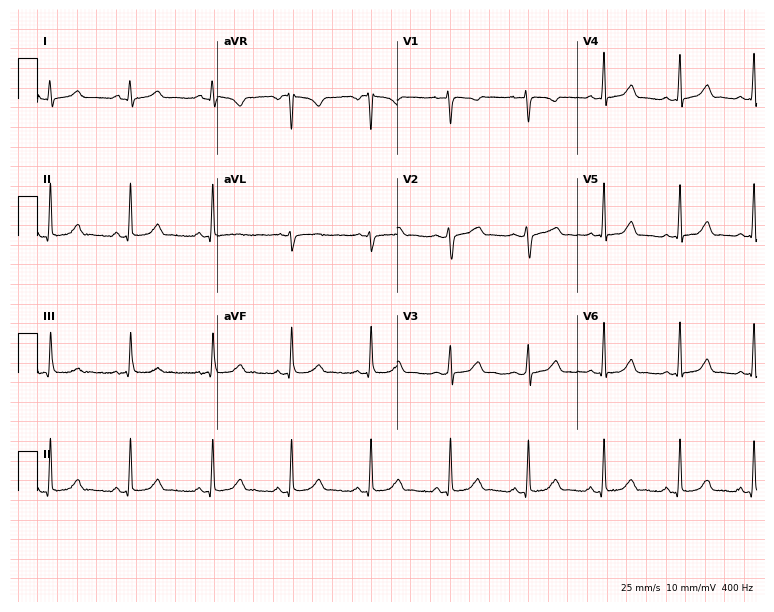
12-lead ECG from a 23-year-old woman. Recorded interpretation: within normal limits.